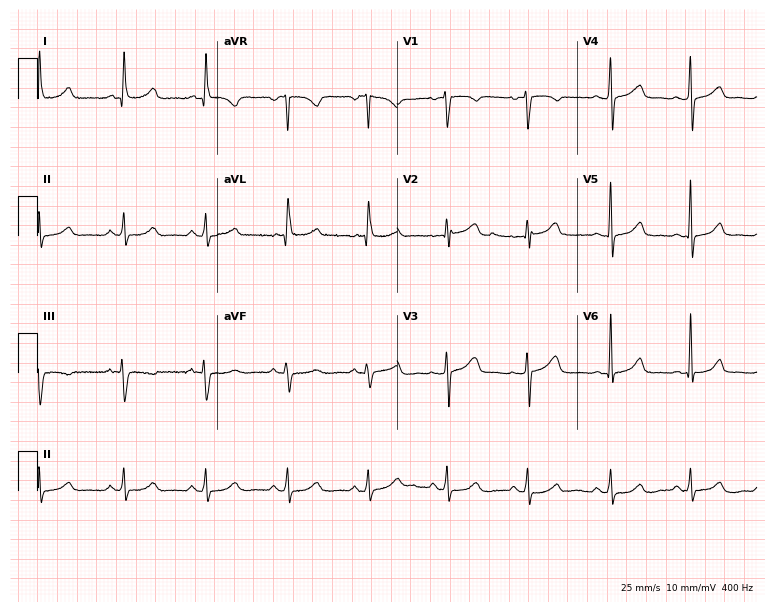
Electrocardiogram (7.3-second recording at 400 Hz), a woman, 48 years old. Overall reading on record: normal ECG.